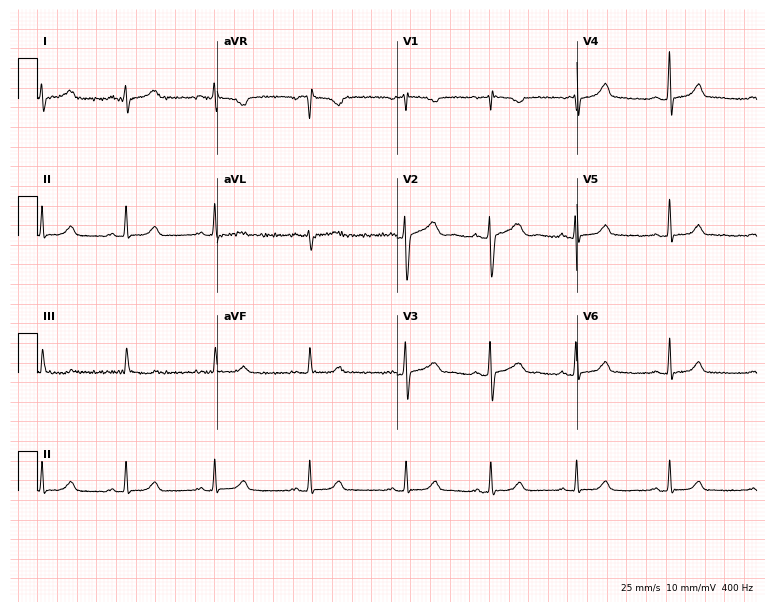
12-lead ECG (7.3-second recording at 400 Hz) from a female, 27 years old. Screened for six findings — first-degree AV block, right bundle branch block, left bundle branch block, sinus bradycardia, atrial fibrillation, sinus tachycardia — none is recorded.